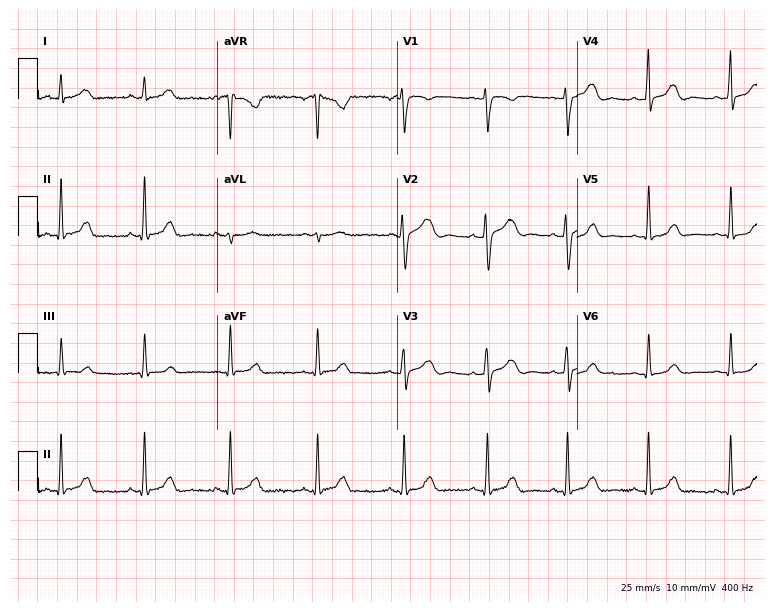
Standard 12-lead ECG recorded from a 42-year-old female. None of these six findings is recorded: first-degree AV block, right bundle branch block, left bundle branch block, sinus bradycardia, atrial fibrillation, sinus tachycardia.